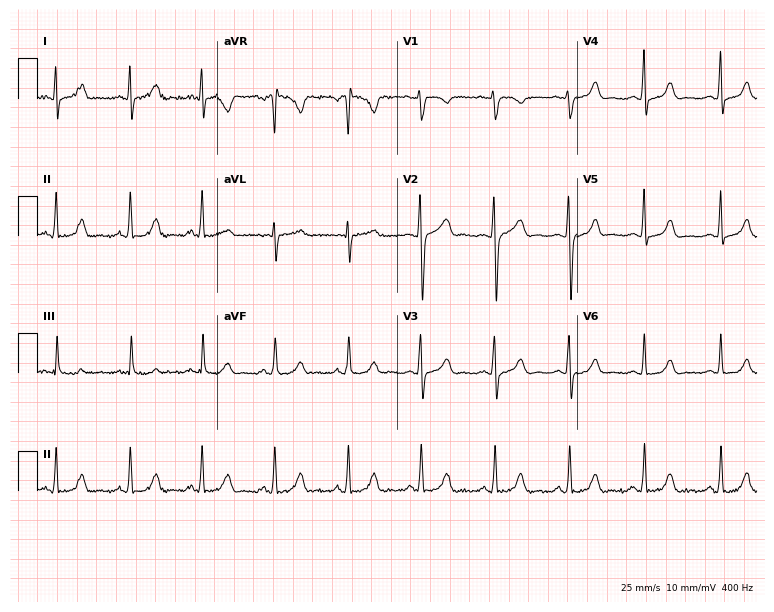
Standard 12-lead ECG recorded from a 30-year-old female (7.3-second recording at 400 Hz). Read as a normal ECG.